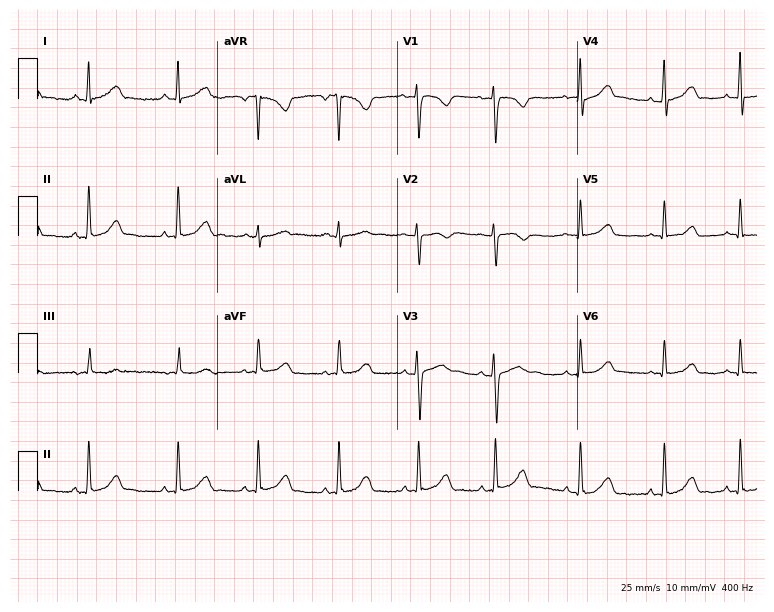
ECG — a woman, 26 years old. Labelled as a normal ECG.